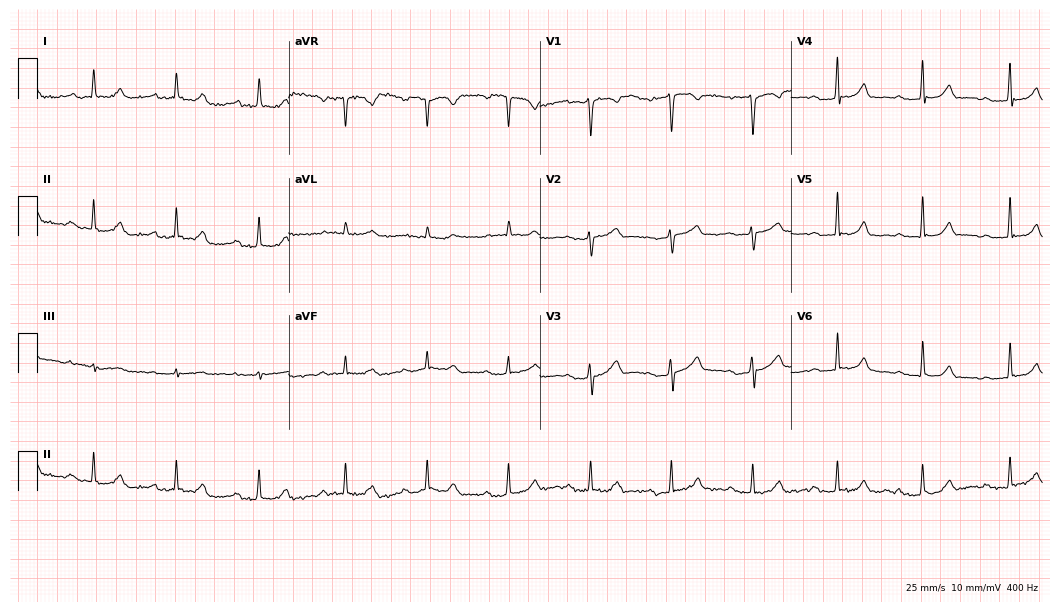
12-lead ECG from a woman, 49 years old. Findings include first-degree AV block.